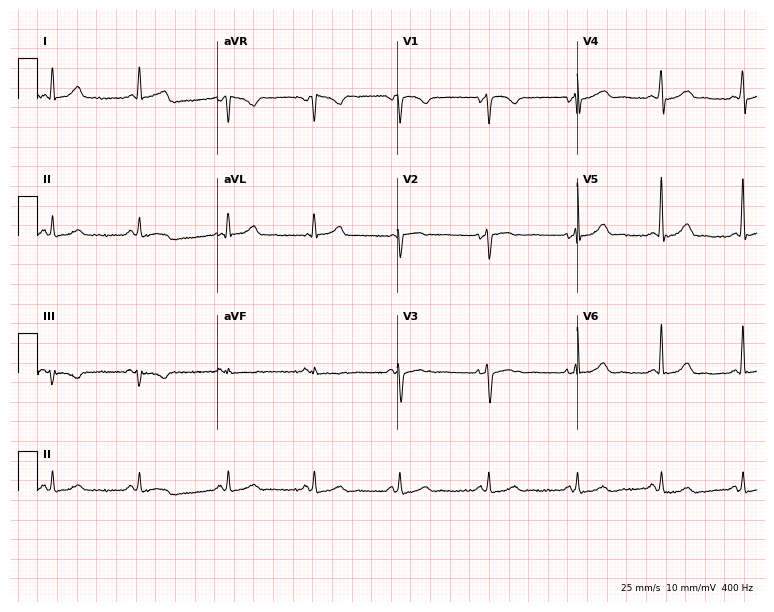
Standard 12-lead ECG recorded from a 52-year-old woman. Read as a normal ECG.